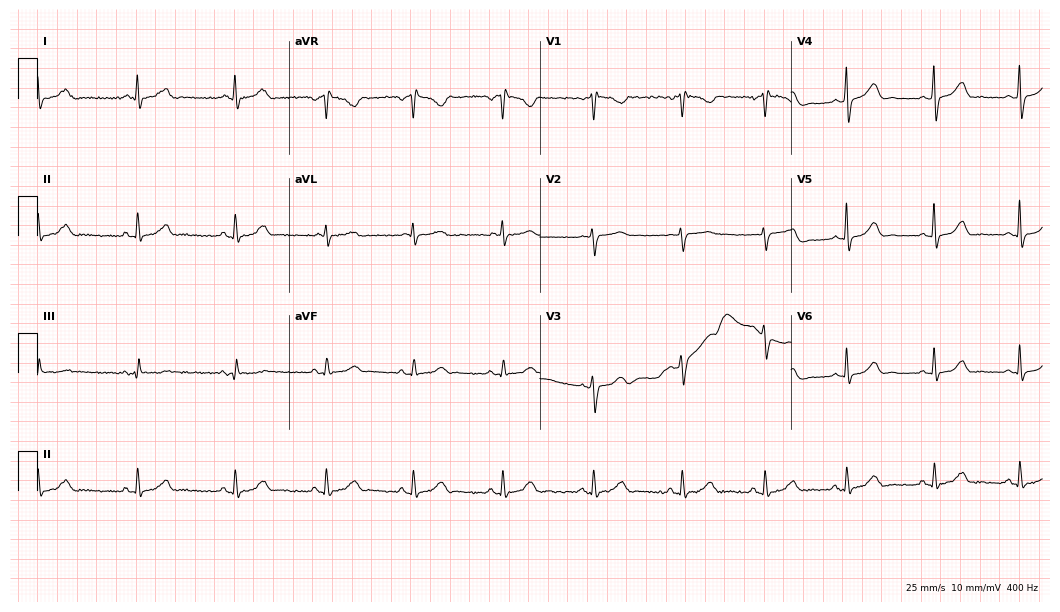
Standard 12-lead ECG recorded from a woman, 36 years old. Read as a normal ECG.